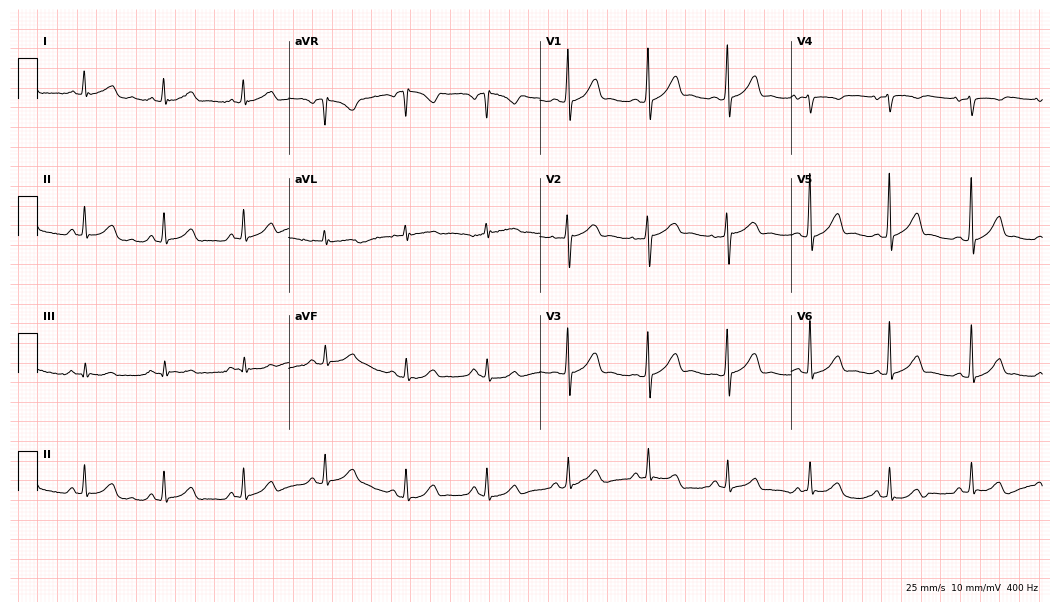
Standard 12-lead ECG recorded from a 42-year-old woman (10.2-second recording at 400 Hz). None of these six findings is recorded: first-degree AV block, right bundle branch block, left bundle branch block, sinus bradycardia, atrial fibrillation, sinus tachycardia. Only these six findings were labelled.